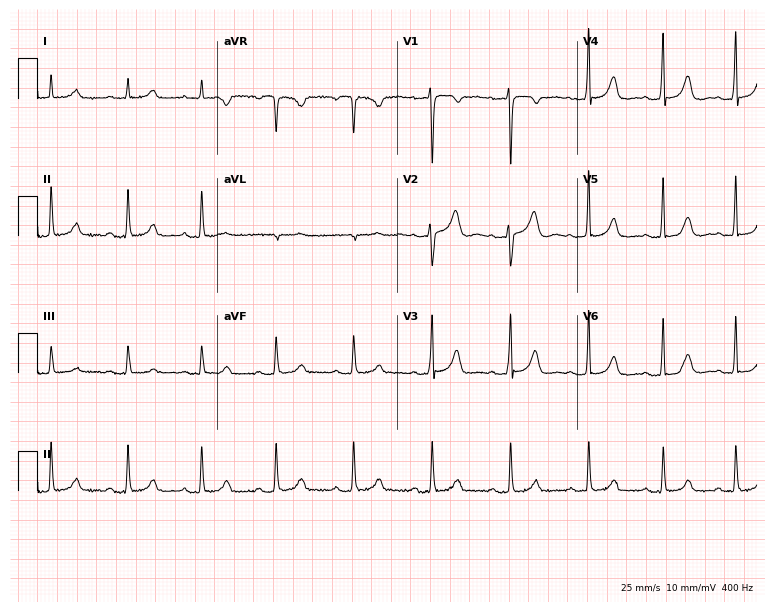
12-lead ECG from a female patient, 35 years old (7.3-second recording at 400 Hz). No first-degree AV block, right bundle branch block (RBBB), left bundle branch block (LBBB), sinus bradycardia, atrial fibrillation (AF) or sinus tachycardia recorded for this tracing.